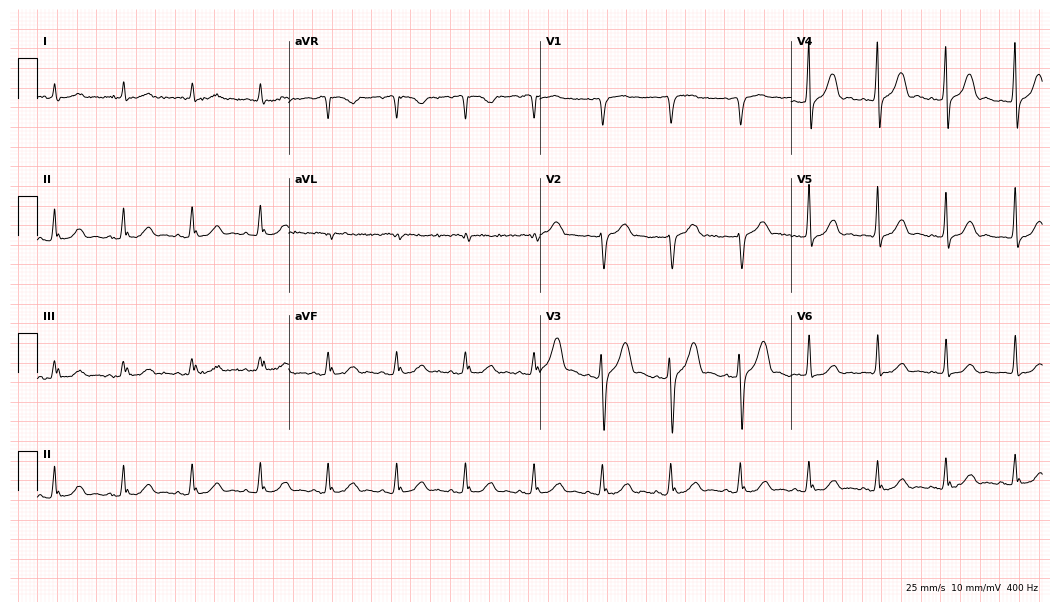
12-lead ECG (10.2-second recording at 400 Hz) from a man, 85 years old. Screened for six findings — first-degree AV block, right bundle branch block, left bundle branch block, sinus bradycardia, atrial fibrillation, sinus tachycardia — none is recorded.